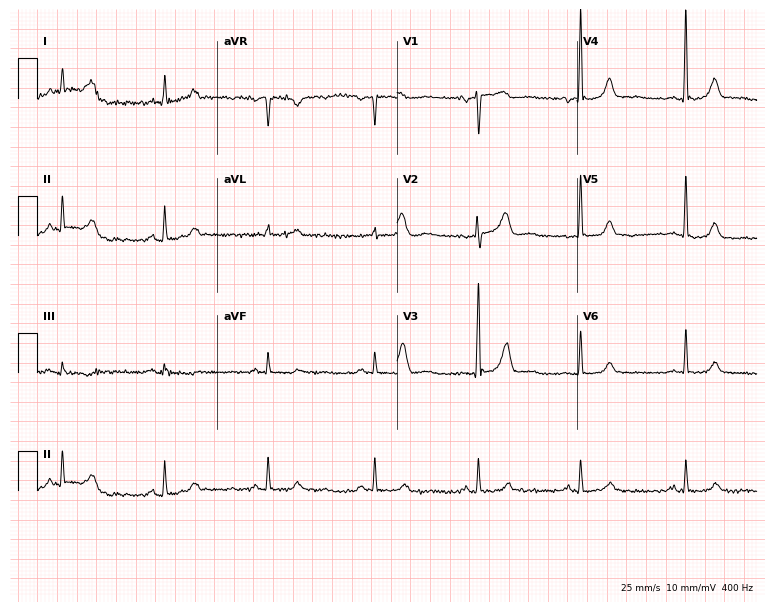
12-lead ECG from a man, 83 years old. Screened for six findings — first-degree AV block, right bundle branch block, left bundle branch block, sinus bradycardia, atrial fibrillation, sinus tachycardia — none is recorded. Findings outside these six are not listed.